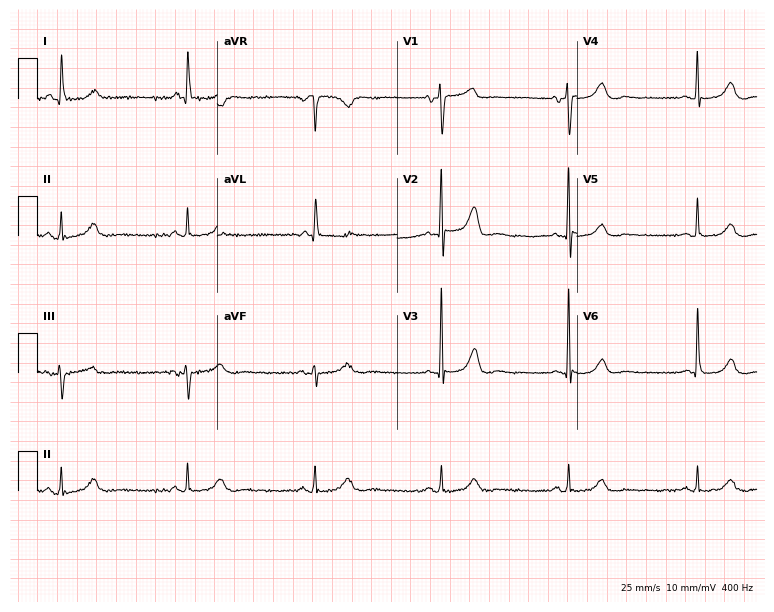
12-lead ECG from a woman, 75 years old (7.3-second recording at 400 Hz). Shows sinus bradycardia (a sinus rate of 50 beats per minute or less).